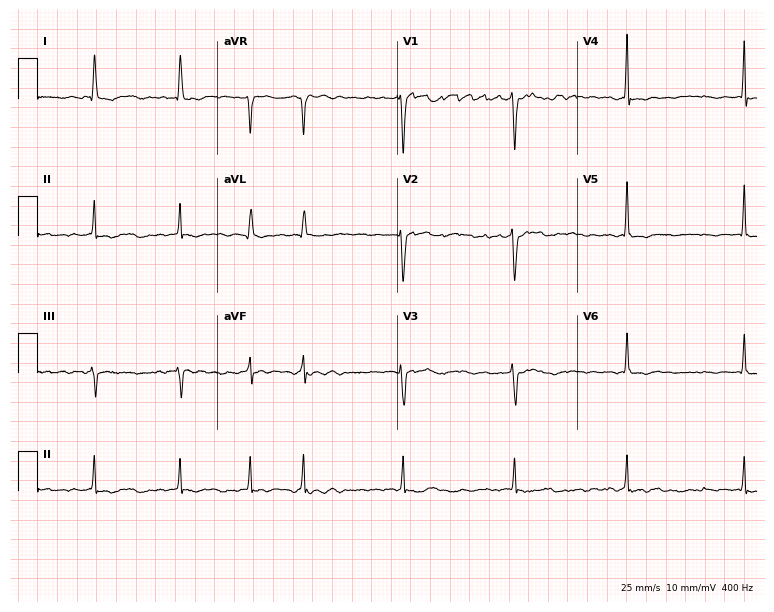
12-lead ECG from a 71-year-old female. Shows atrial fibrillation (AF).